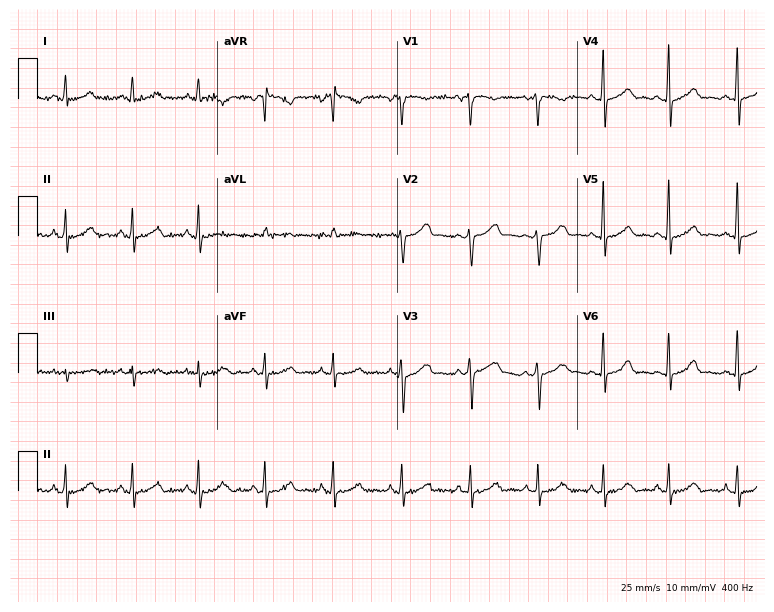
Standard 12-lead ECG recorded from a 43-year-old woman. Read as a normal ECG.